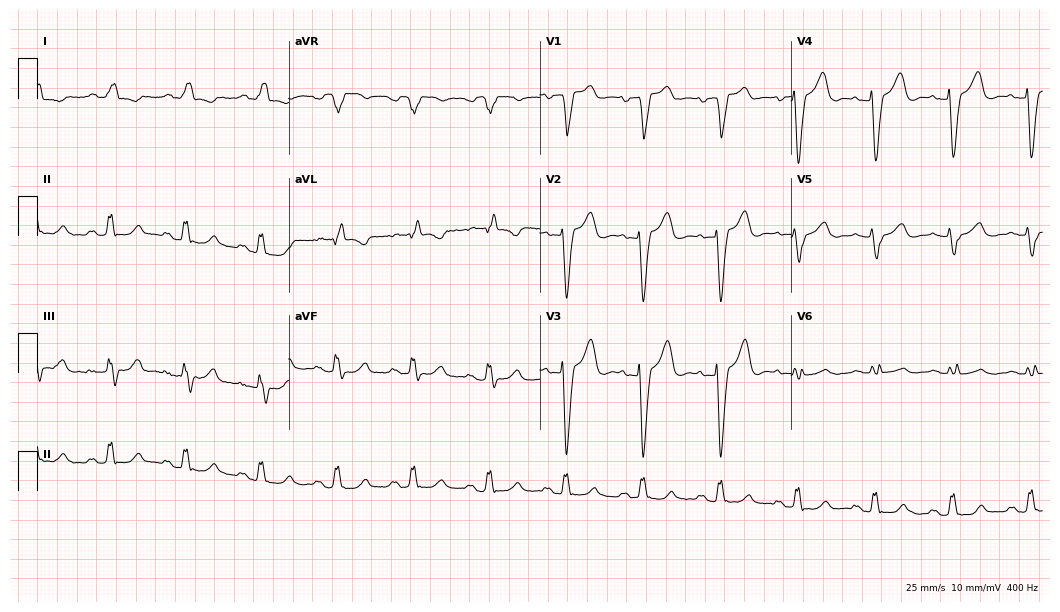
12-lead ECG from a female patient, 81 years old. Shows left bundle branch block (LBBB).